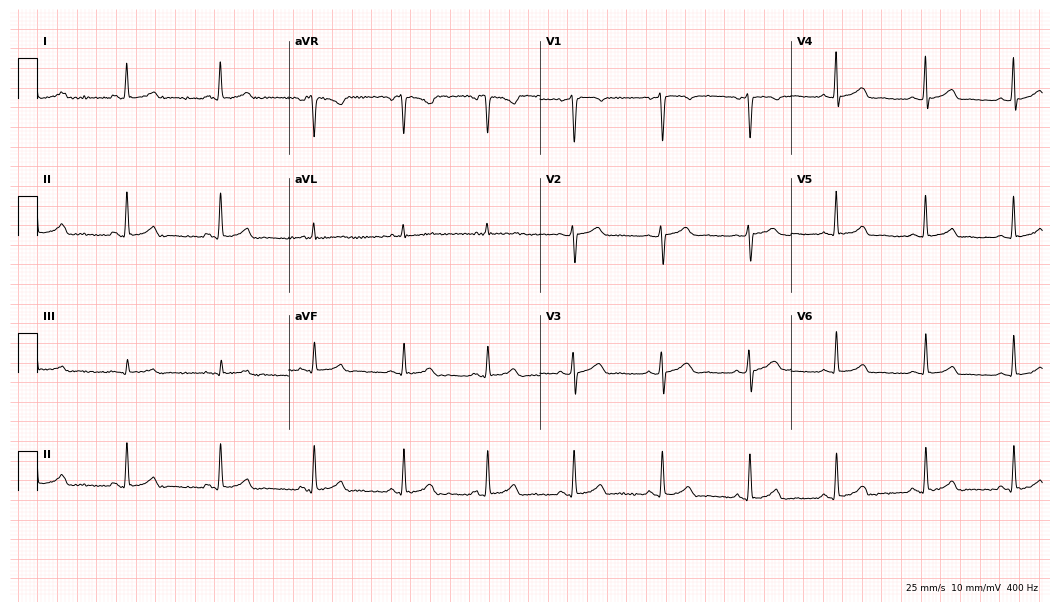
Standard 12-lead ECG recorded from a 40-year-old female patient (10.2-second recording at 400 Hz). Read as a normal ECG.